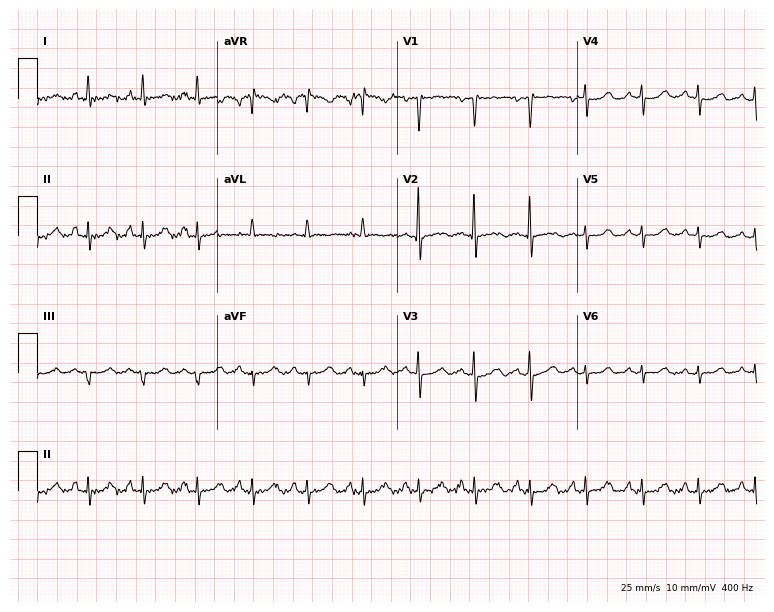
Electrocardiogram (7.3-second recording at 400 Hz), a female patient, 71 years old. Interpretation includes sinus tachycardia (a sinus rate of 100 beats per minute or more).